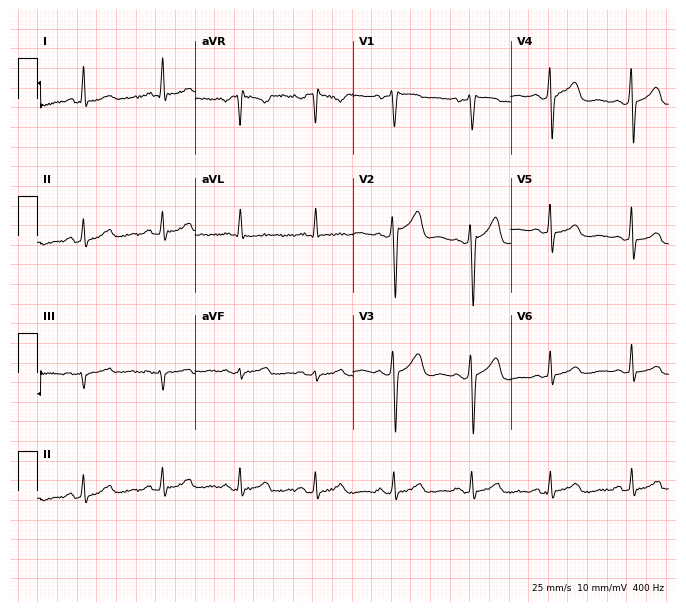
ECG — a man, 47 years old. Labelled as a normal ECG.